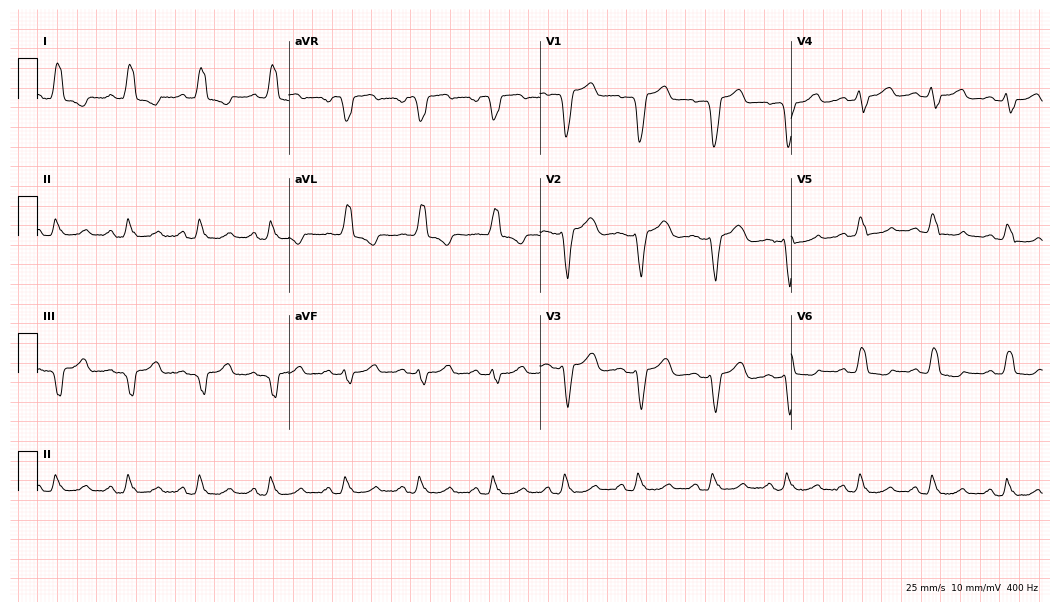
Standard 12-lead ECG recorded from a woman, 57 years old (10.2-second recording at 400 Hz). The tracing shows left bundle branch block (LBBB).